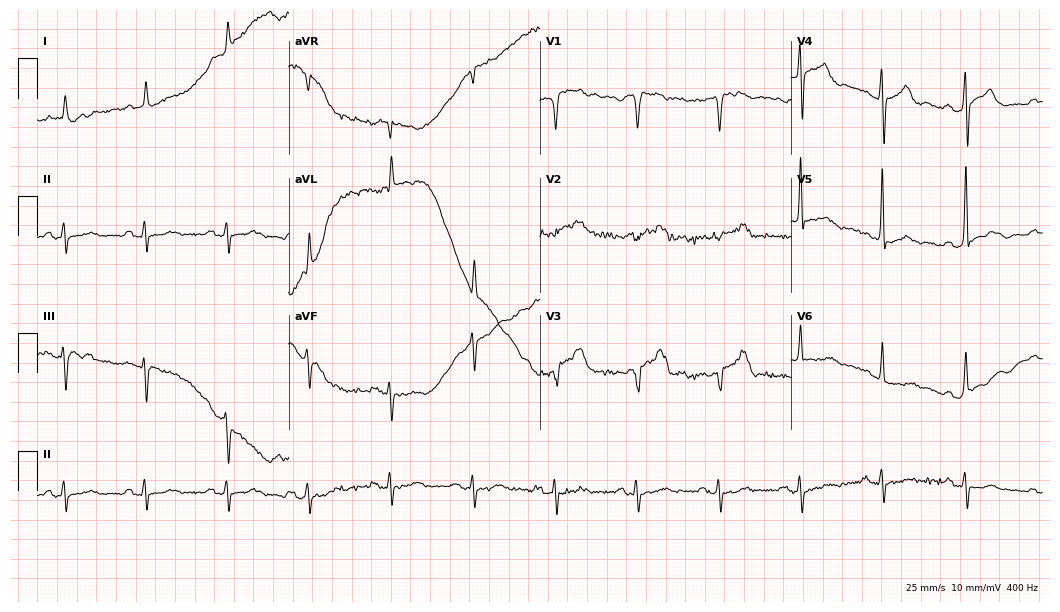
12-lead ECG (10.2-second recording at 400 Hz) from an 83-year-old man. Screened for six findings — first-degree AV block, right bundle branch block, left bundle branch block, sinus bradycardia, atrial fibrillation, sinus tachycardia — none is recorded.